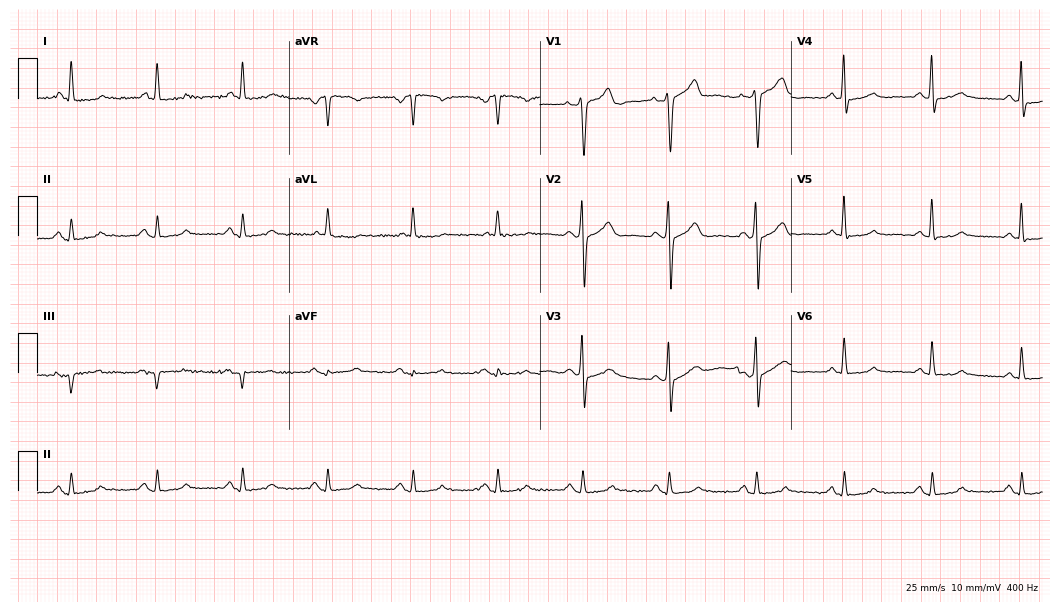
12-lead ECG from a man, 53 years old (10.2-second recording at 400 Hz). Recorded interpretation: within normal limits.